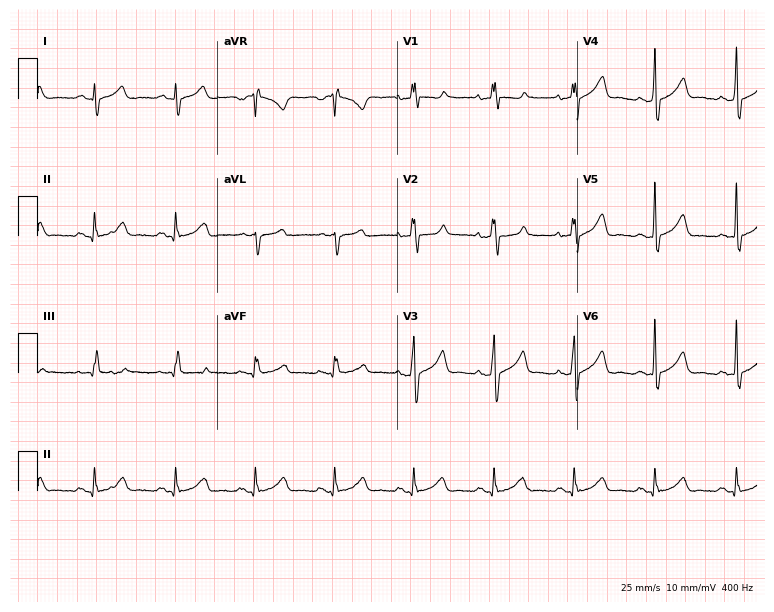
Standard 12-lead ECG recorded from a 33-year-old man. Read as a normal ECG.